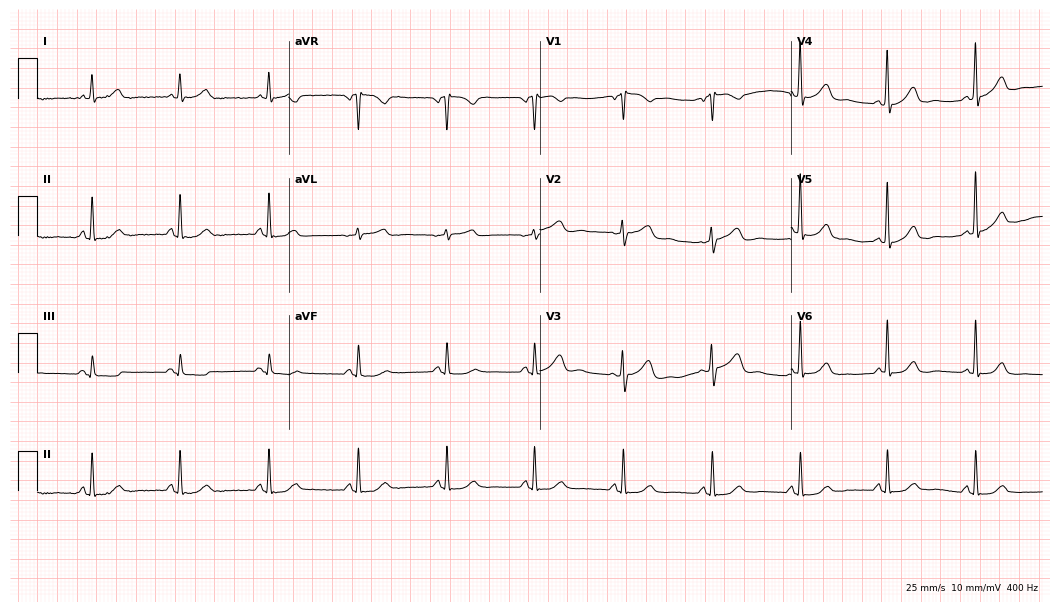
ECG — a 79-year-old woman. Labelled as a normal ECG.